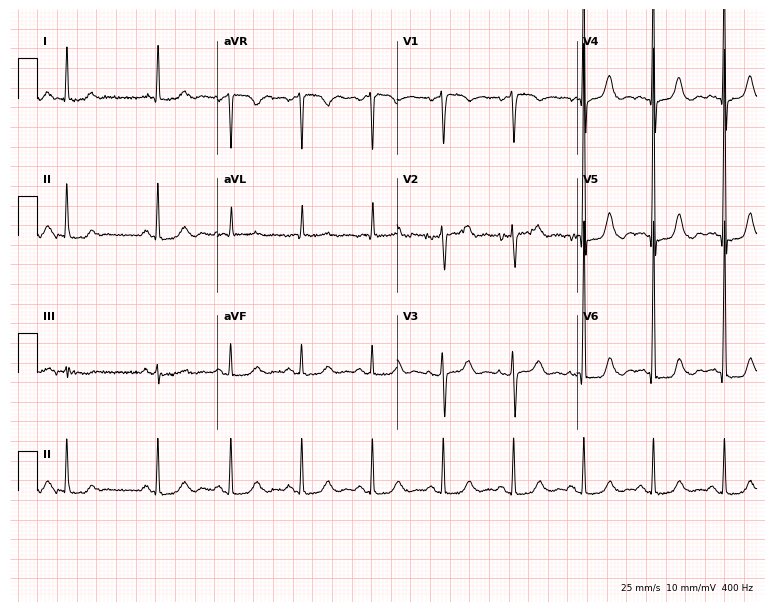
Resting 12-lead electrocardiogram. Patient: a female, 77 years old. Read as a normal ECG.